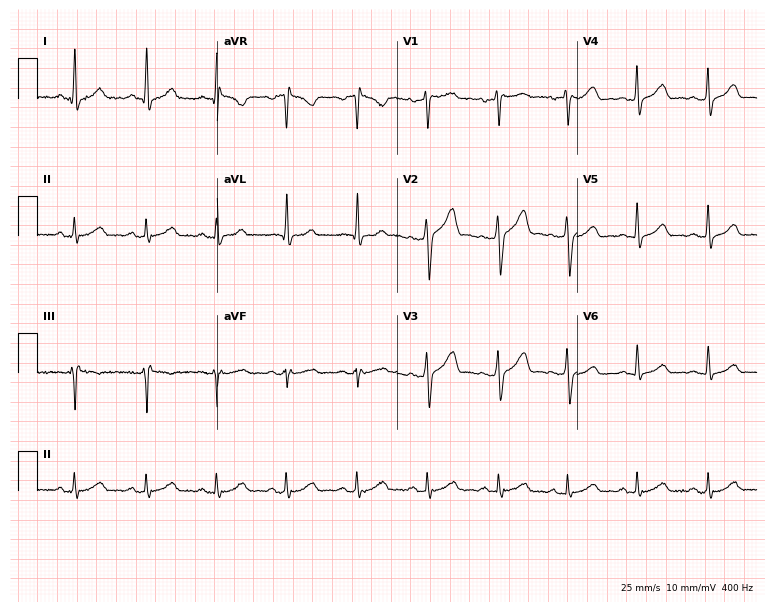
12-lead ECG from a 46-year-old female (7.3-second recording at 400 Hz). Recorded interpretation: within normal limits.